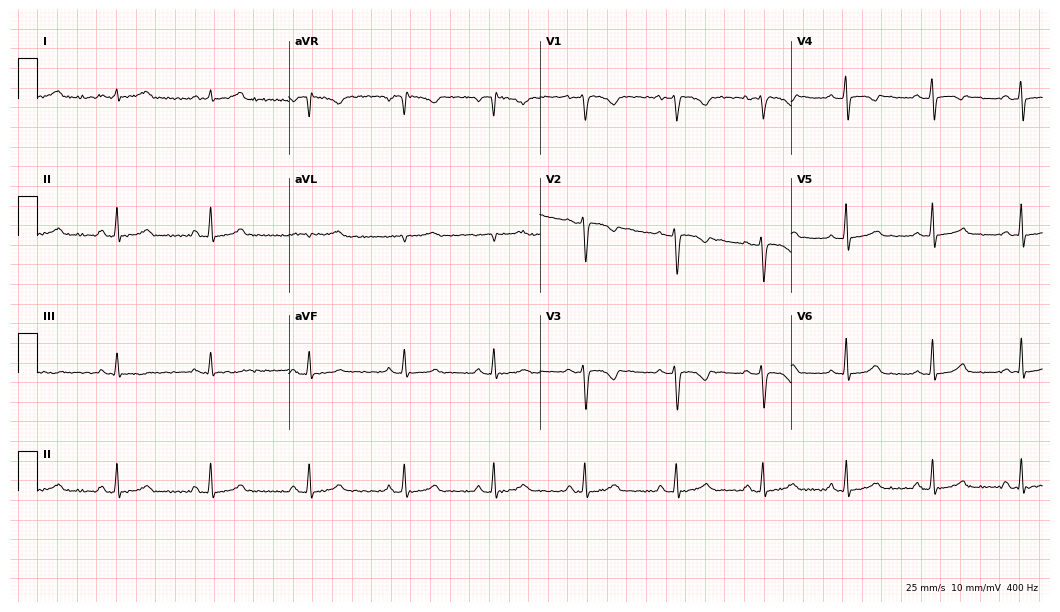
12-lead ECG (10.2-second recording at 400 Hz) from a female patient, 37 years old. Screened for six findings — first-degree AV block, right bundle branch block, left bundle branch block, sinus bradycardia, atrial fibrillation, sinus tachycardia — none is recorded. Findings outside these six are not listed.